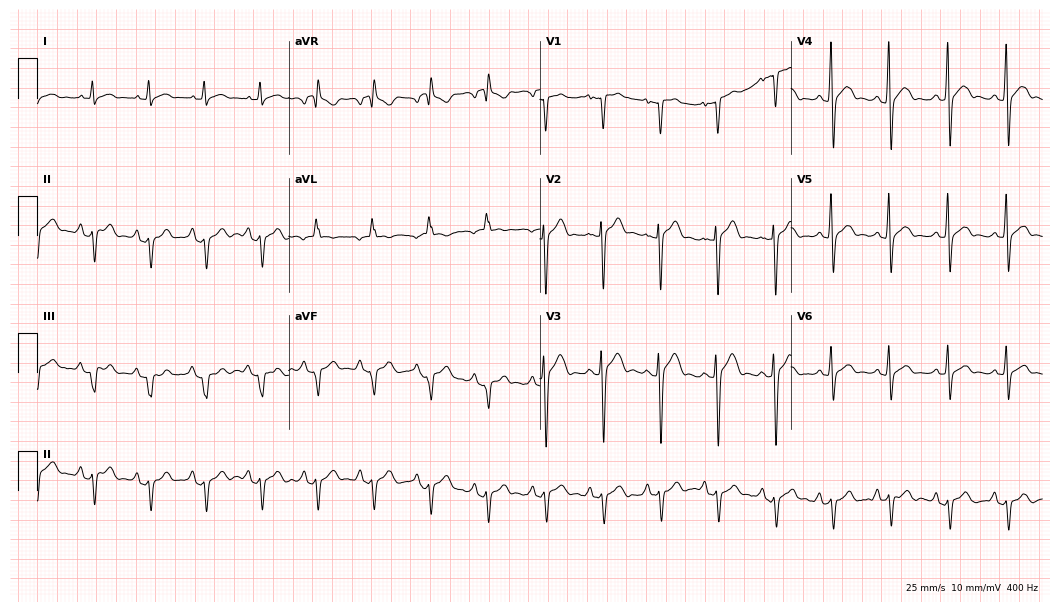
Resting 12-lead electrocardiogram. Patient: a male, 79 years old. None of these six findings is recorded: first-degree AV block, right bundle branch block, left bundle branch block, sinus bradycardia, atrial fibrillation, sinus tachycardia.